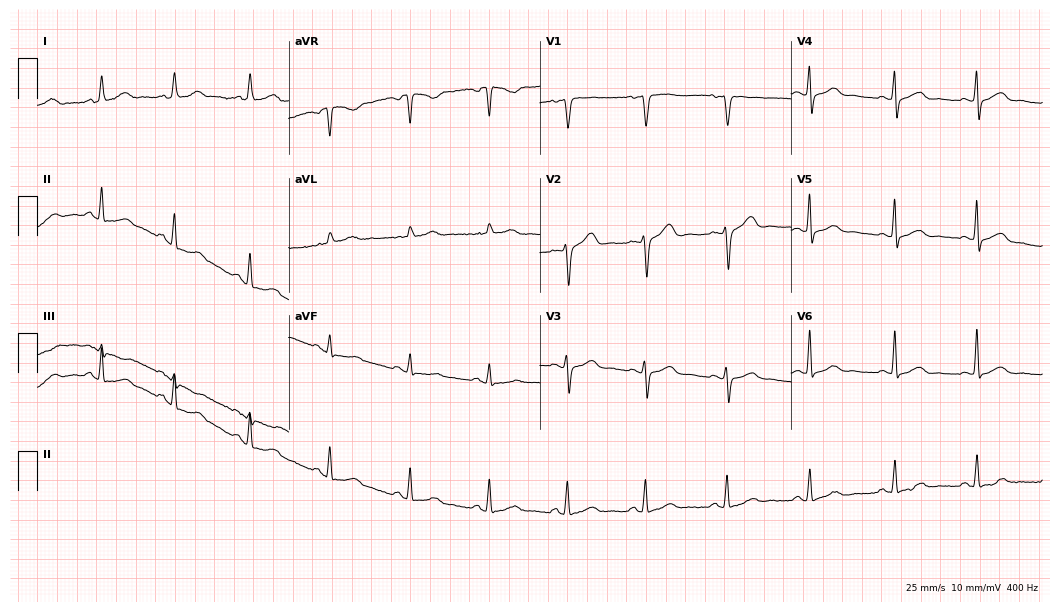
Electrocardiogram (10.2-second recording at 400 Hz), a woman, 50 years old. Overall reading on record: normal ECG.